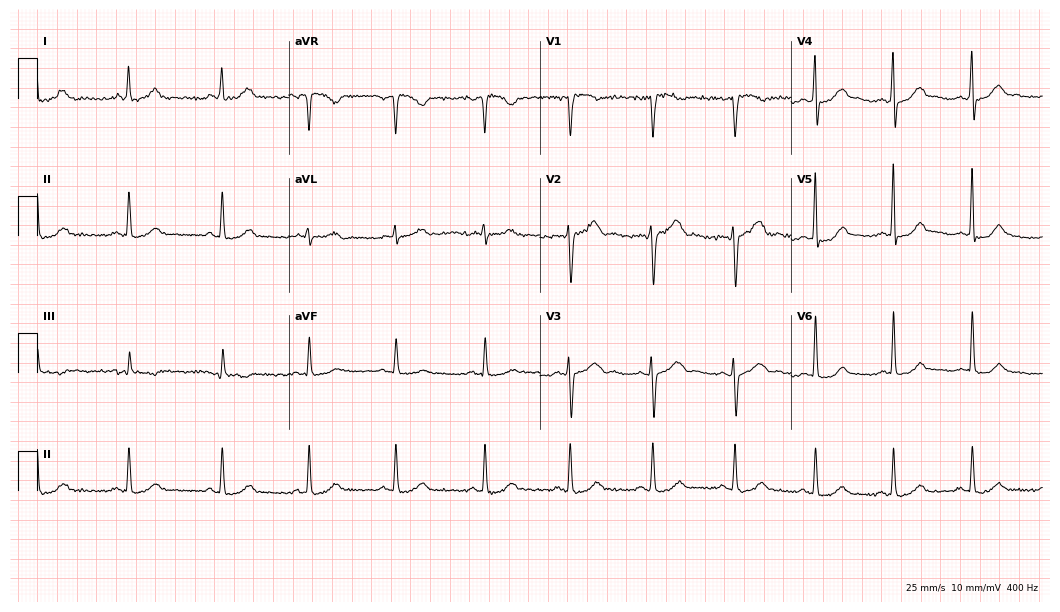
ECG — a female, 18 years old. Labelled as a normal ECG.